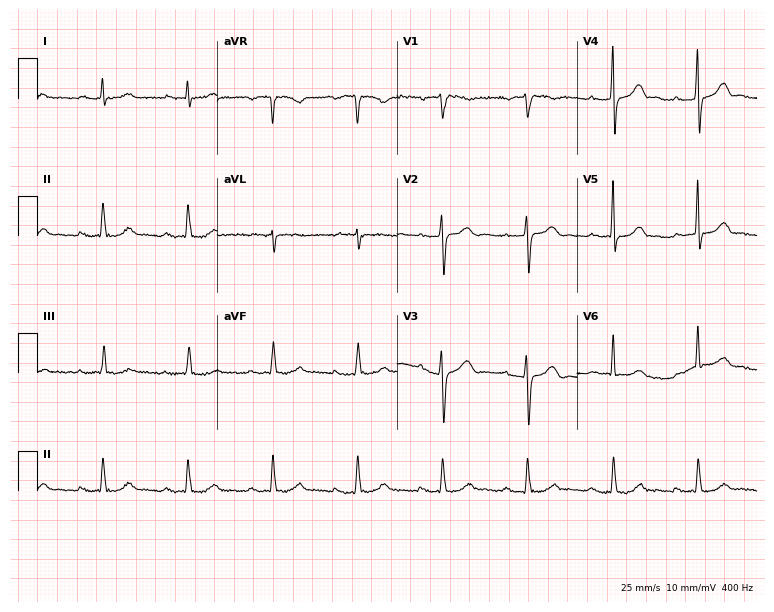
12-lead ECG from a man, 61 years old. Findings include first-degree AV block.